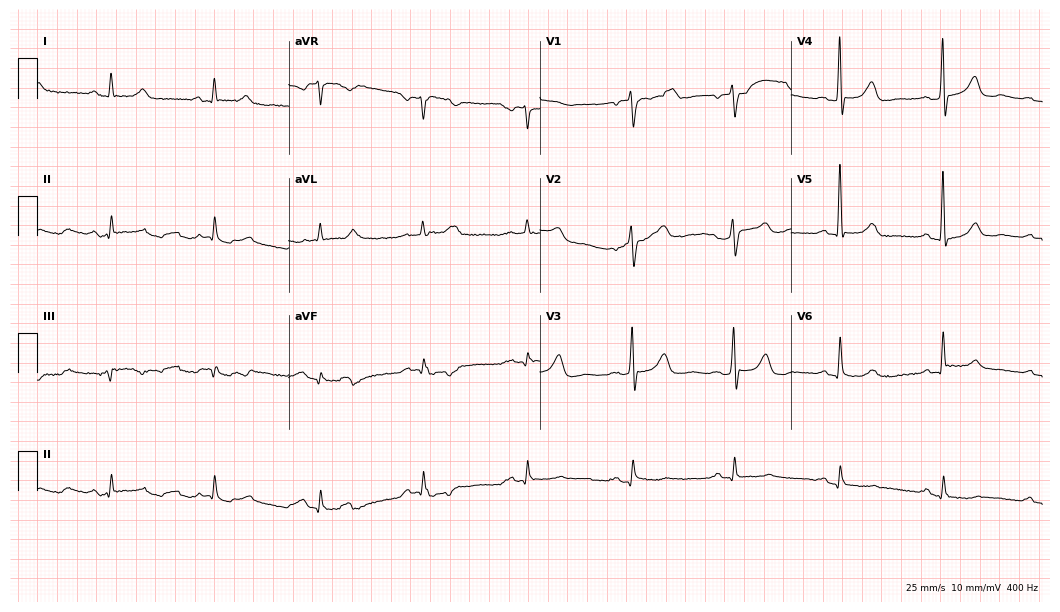
Standard 12-lead ECG recorded from a male, 76 years old (10.2-second recording at 400 Hz). None of these six findings is recorded: first-degree AV block, right bundle branch block (RBBB), left bundle branch block (LBBB), sinus bradycardia, atrial fibrillation (AF), sinus tachycardia. Findings outside these six are not listed.